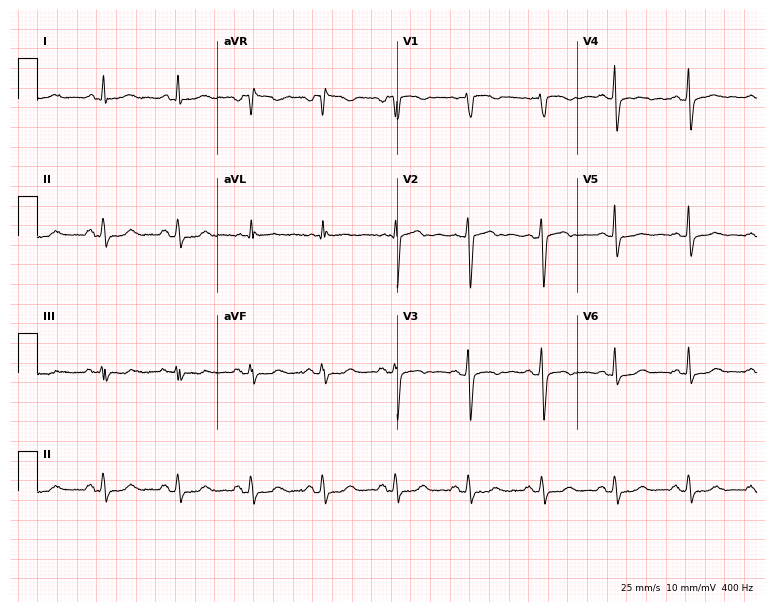
ECG — a woman, 46 years old. Screened for six findings — first-degree AV block, right bundle branch block (RBBB), left bundle branch block (LBBB), sinus bradycardia, atrial fibrillation (AF), sinus tachycardia — none is recorded.